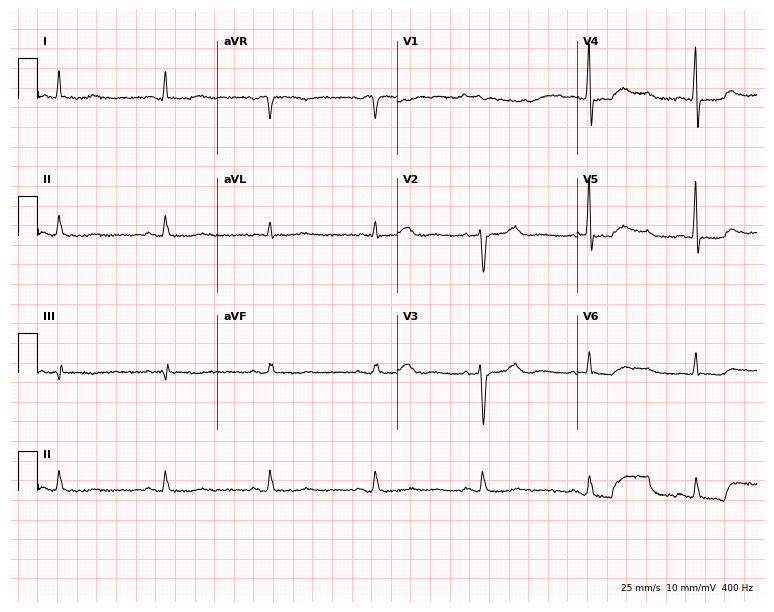
12-lead ECG from a male patient, 79 years old. No first-degree AV block, right bundle branch block, left bundle branch block, sinus bradycardia, atrial fibrillation or sinus tachycardia recorded for this tracing.